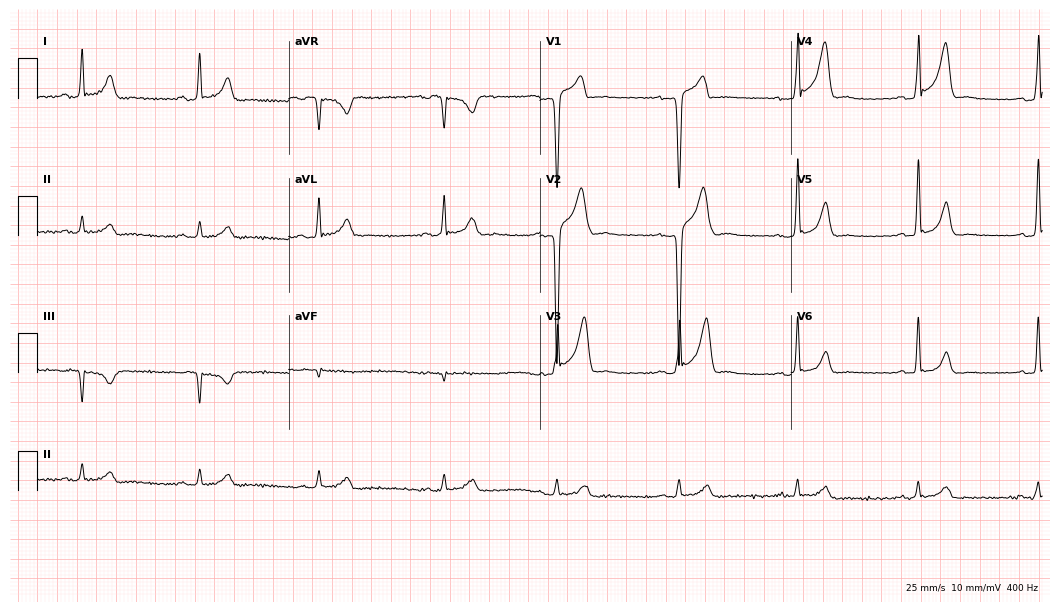
ECG (10.2-second recording at 400 Hz) — a male patient, 40 years old. Findings include sinus bradycardia (a sinus rate of 50 beats per minute or less).